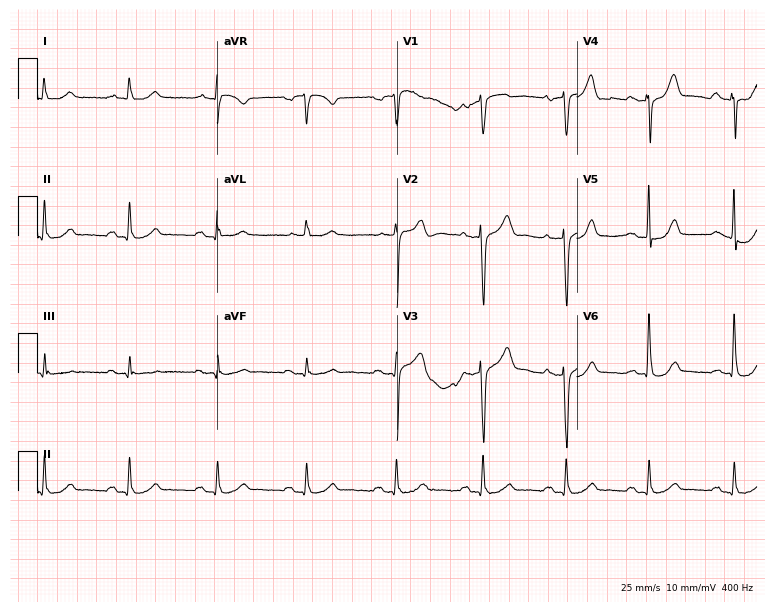
Resting 12-lead electrocardiogram (7.3-second recording at 400 Hz). Patient: a male, 76 years old. Read as a normal ECG.